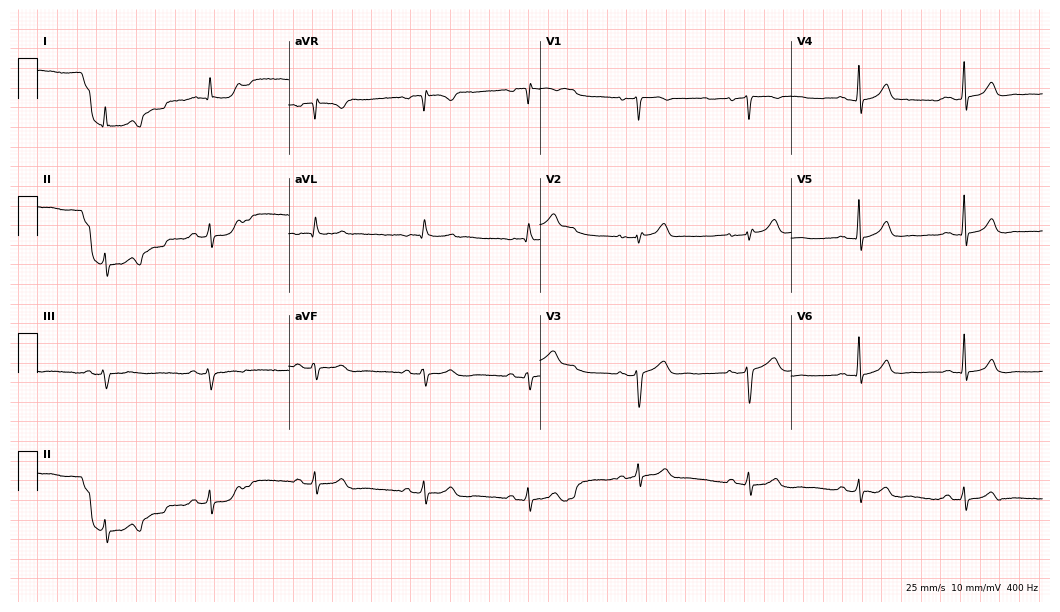
Standard 12-lead ECG recorded from a female patient, 58 years old (10.2-second recording at 400 Hz). Read as a normal ECG.